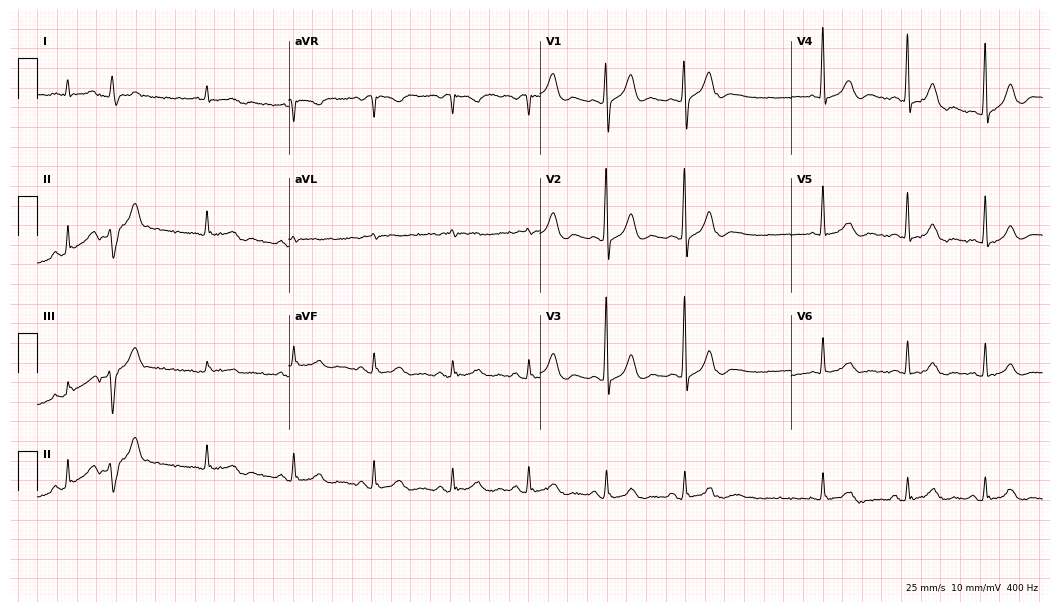
ECG — an 84-year-old man. Screened for six findings — first-degree AV block, right bundle branch block, left bundle branch block, sinus bradycardia, atrial fibrillation, sinus tachycardia — none is recorded. Other findings, if any, are not listed.